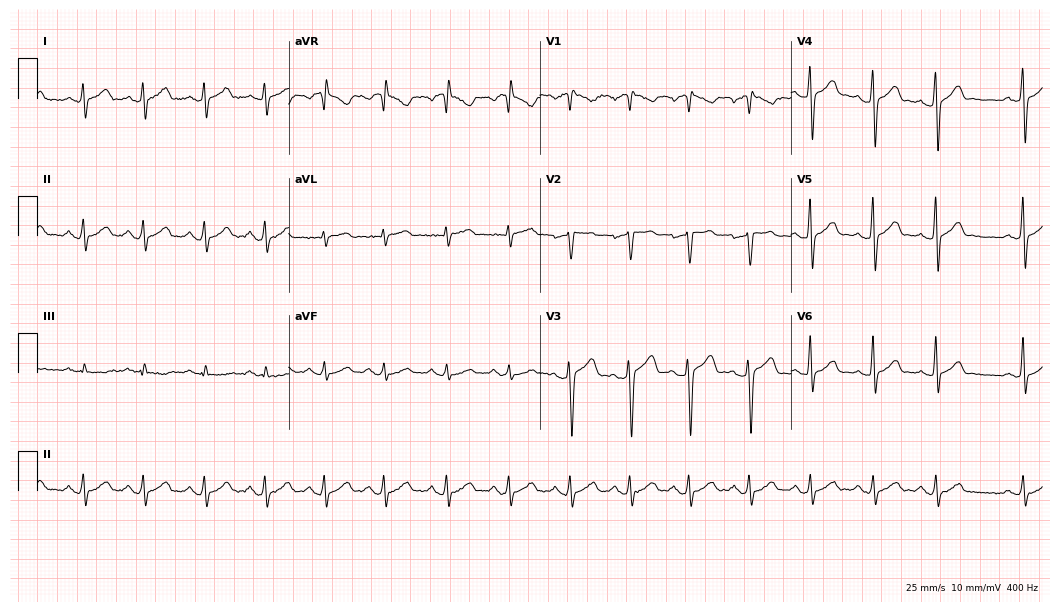
12-lead ECG (10.2-second recording at 400 Hz) from a 21-year-old male. Labelled as a normal ECG.